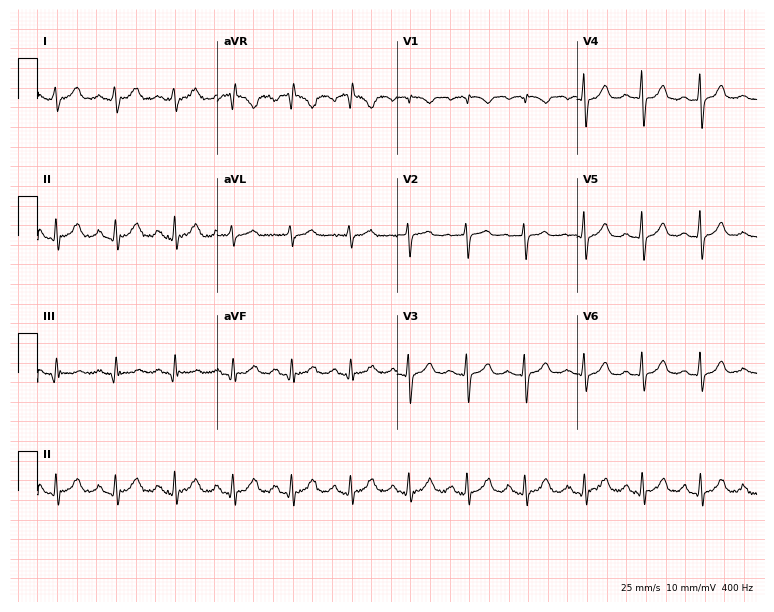
ECG — a 60-year-old woman. Screened for six findings — first-degree AV block, right bundle branch block (RBBB), left bundle branch block (LBBB), sinus bradycardia, atrial fibrillation (AF), sinus tachycardia — none is recorded. Only these six findings were labelled.